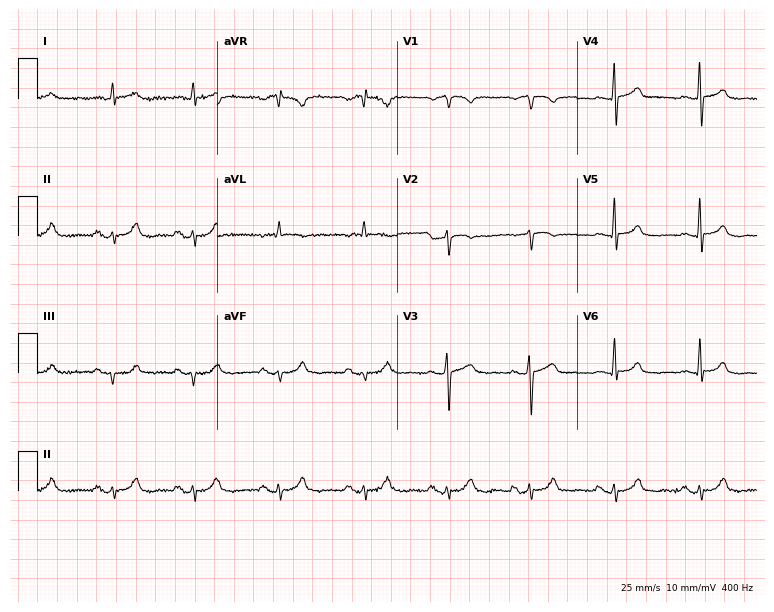
12-lead ECG from a 77-year-old male. No first-degree AV block, right bundle branch block, left bundle branch block, sinus bradycardia, atrial fibrillation or sinus tachycardia recorded for this tracing.